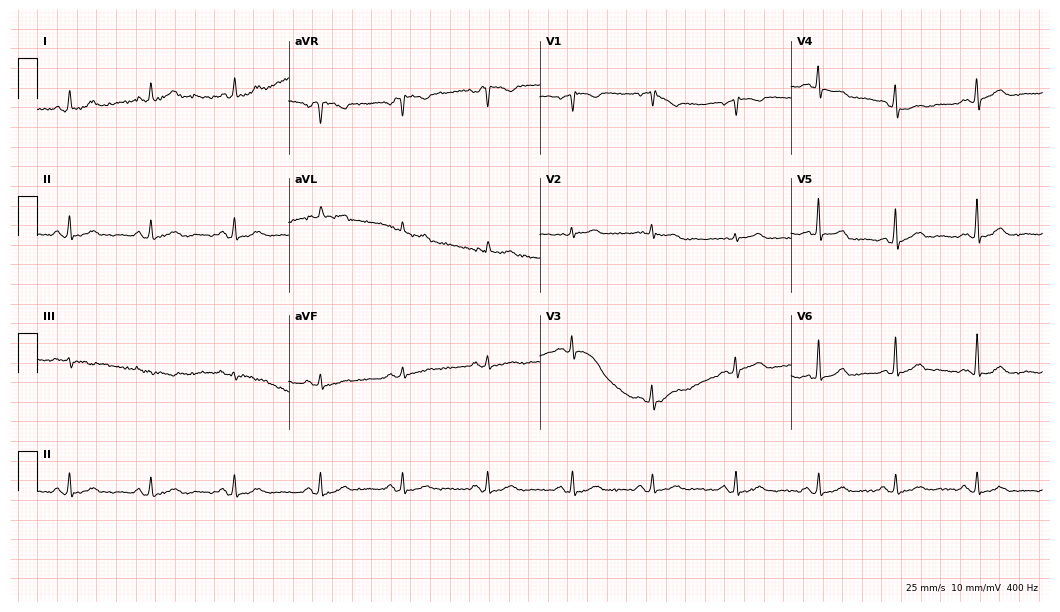
ECG (10.2-second recording at 400 Hz) — a female, 81 years old. Screened for six findings — first-degree AV block, right bundle branch block (RBBB), left bundle branch block (LBBB), sinus bradycardia, atrial fibrillation (AF), sinus tachycardia — none is recorded. Other findings, if any, are not listed.